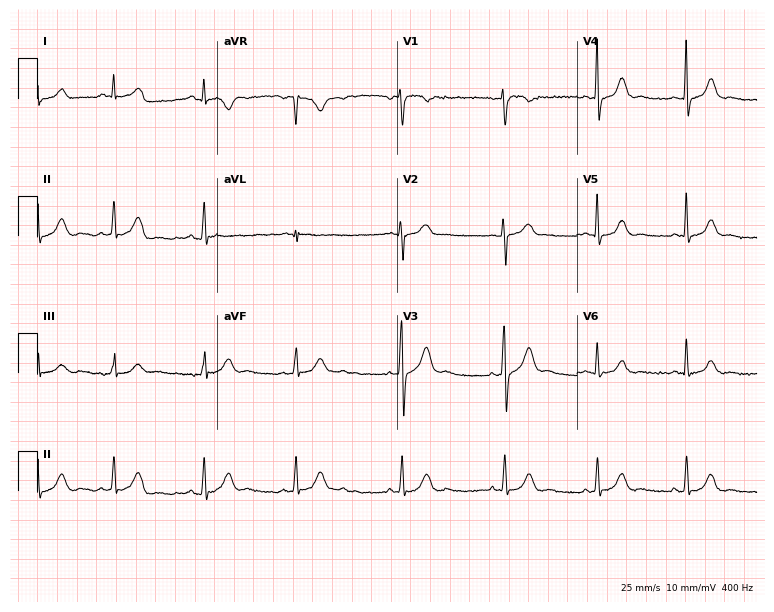
Standard 12-lead ECG recorded from a female patient, 36 years old. Read as a normal ECG.